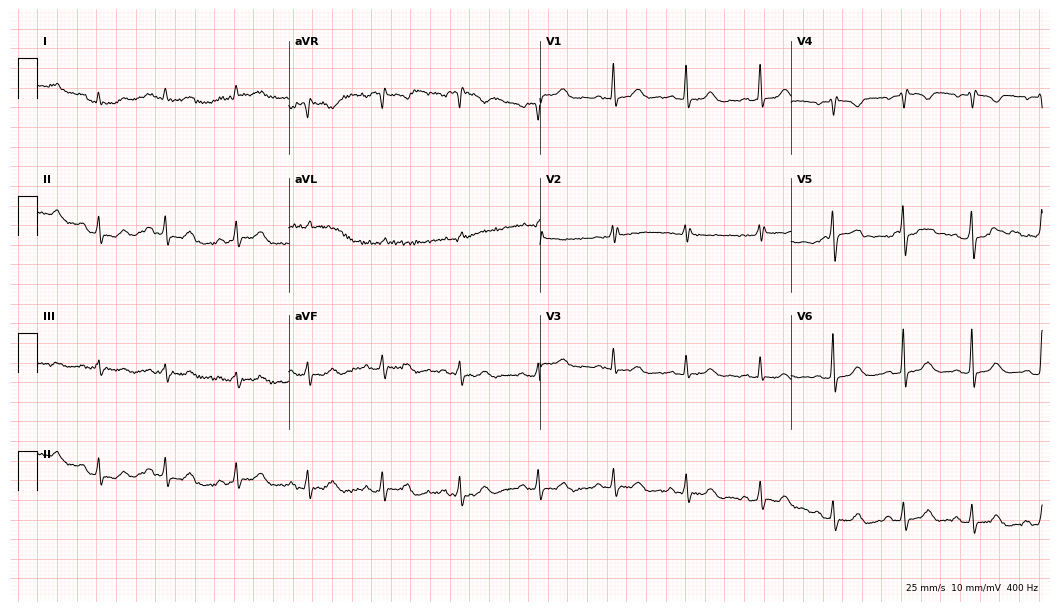
ECG — a female, 46 years old. Screened for six findings — first-degree AV block, right bundle branch block, left bundle branch block, sinus bradycardia, atrial fibrillation, sinus tachycardia — none is recorded. Other findings, if any, are not listed.